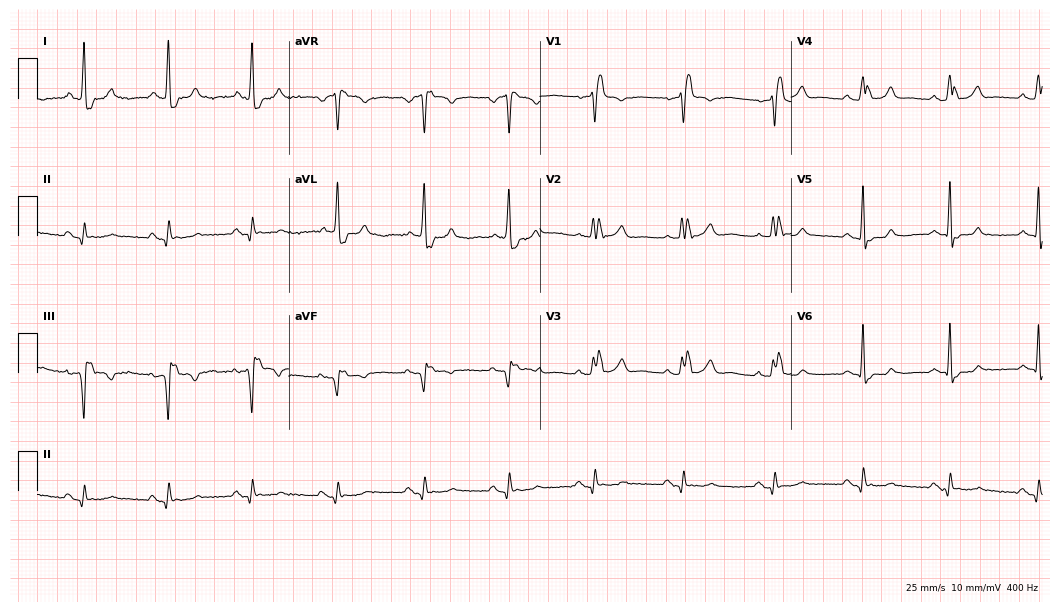
Standard 12-lead ECG recorded from a 68-year-old male (10.2-second recording at 400 Hz). The tracing shows right bundle branch block.